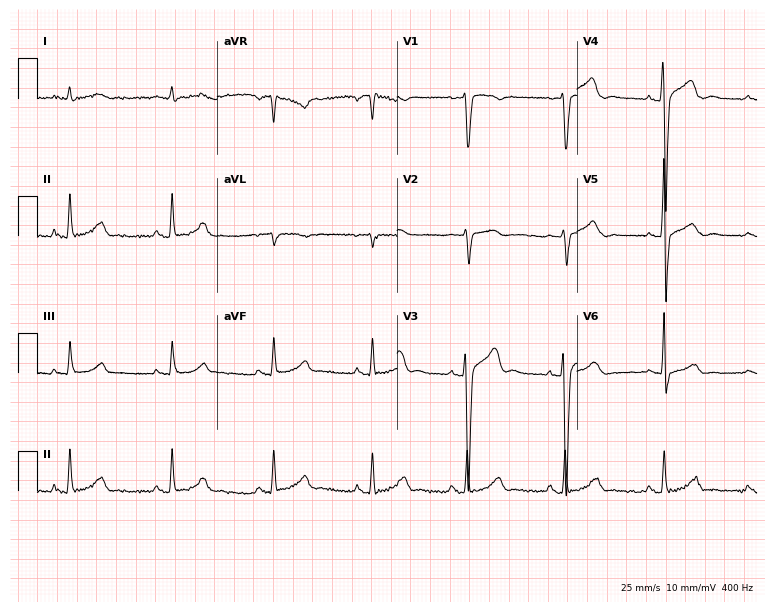
Electrocardiogram (7.3-second recording at 400 Hz), a man, 39 years old. Of the six screened findings (first-degree AV block, right bundle branch block (RBBB), left bundle branch block (LBBB), sinus bradycardia, atrial fibrillation (AF), sinus tachycardia), none is recorded. Other findings, if any, are not listed.